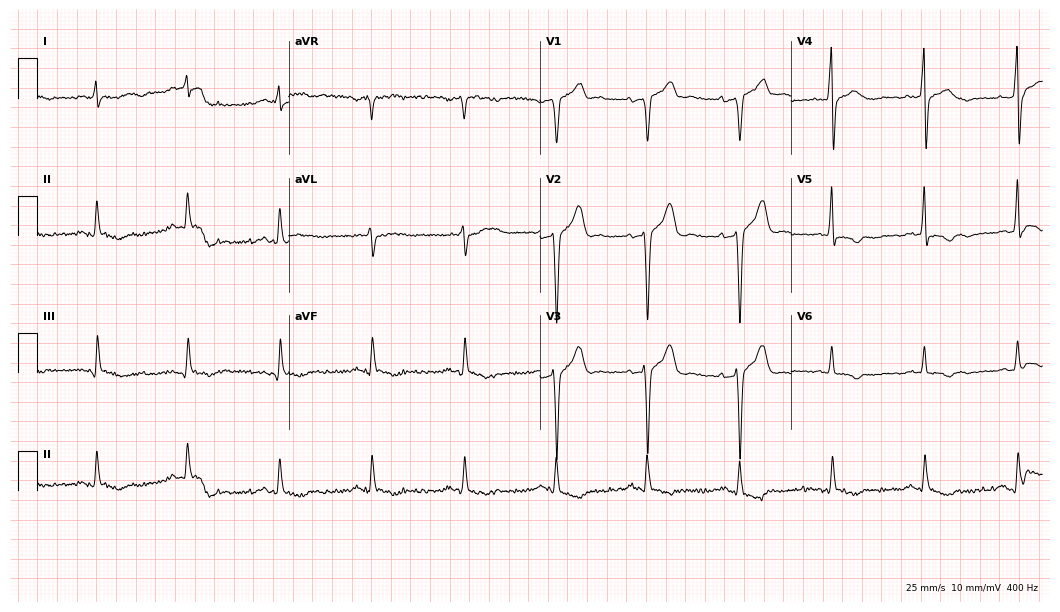
12-lead ECG from a male, 79 years old (10.2-second recording at 400 Hz). No first-degree AV block, right bundle branch block (RBBB), left bundle branch block (LBBB), sinus bradycardia, atrial fibrillation (AF) or sinus tachycardia recorded for this tracing. Other findings, if any, are not listed.